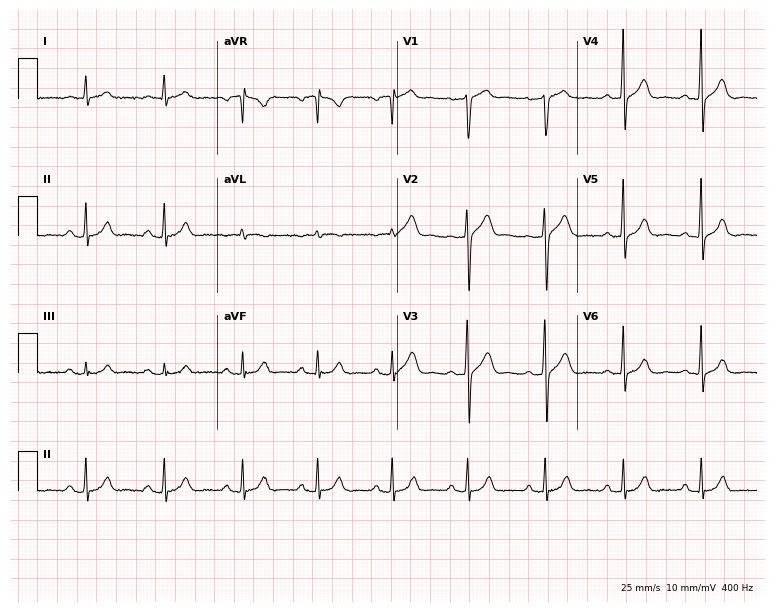
12-lead ECG (7.3-second recording at 400 Hz) from a male patient, 65 years old. Labelled as a normal ECG.